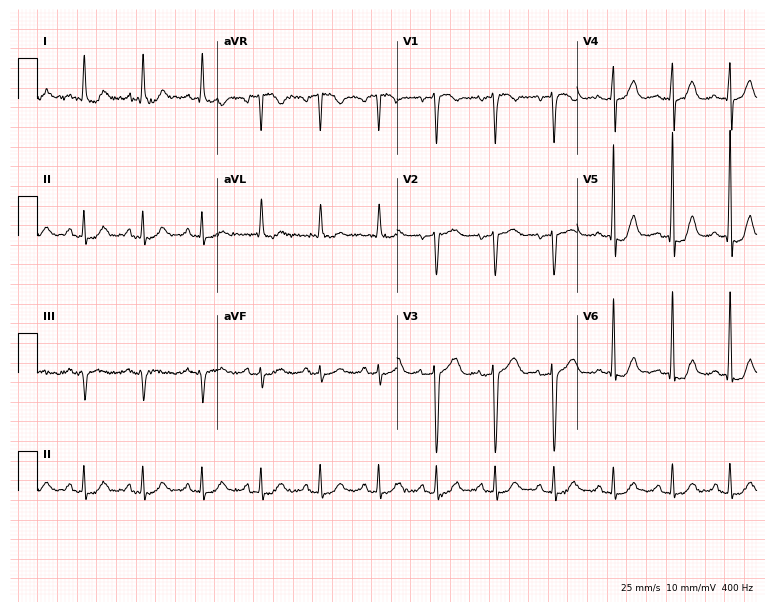
ECG (7.3-second recording at 400 Hz) — a 72-year-old female. Screened for six findings — first-degree AV block, right bundle branch block (RBBB), left bundle branch block (LBBB), sinus bradycardia, atrial fibrillation (AF), sinus tachycardia — none is recorded. Findings outside these six are not listed.